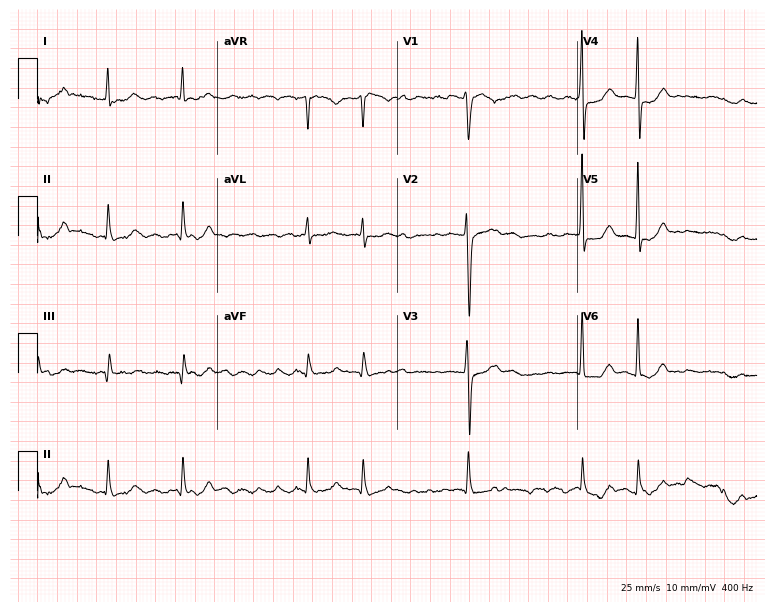
12-lead ECG (7.3-second recording at 400 Hz) from a male patient, 81 years old. Findings include atrial fibrillation.